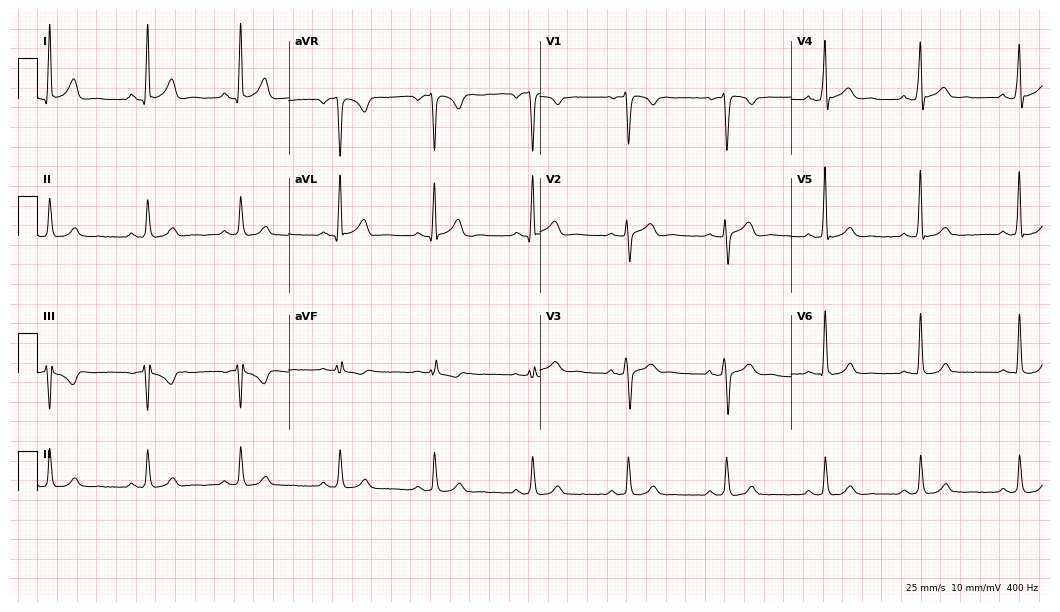
Electrocardiogram, a 36-year-old male. Overall reading on record: normal ECG.